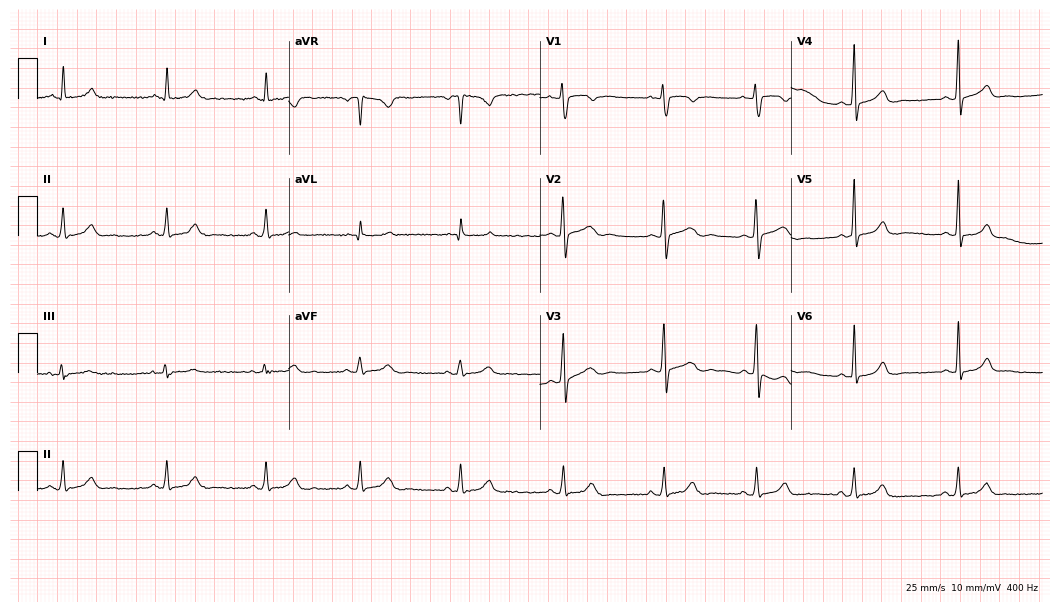
Electrocardiogram (10.2-second recording at 400 Hz), a 30-year-old female patient. Overall reading on record: normal ECG.